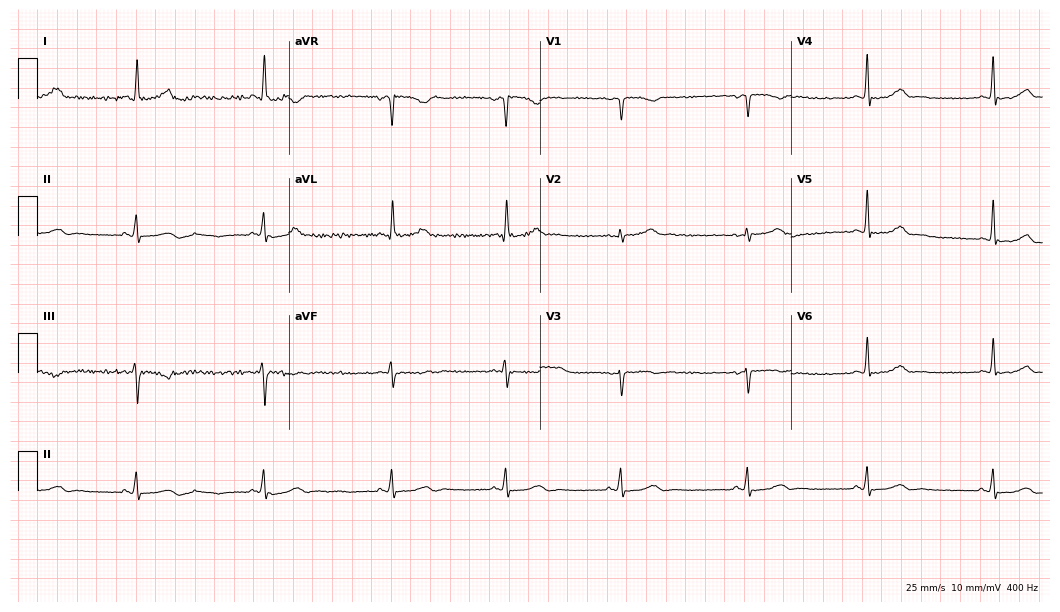
12-lead ECG from a 48-year-old woman. No first-degree AV block, right bundle branch block (RBBB), left bundle branch block (LBBB), sinus bradycardia, atrial fibrillation (AF) or sinus tachycardia recorded for this tracing. Findings outside these six are not listed.